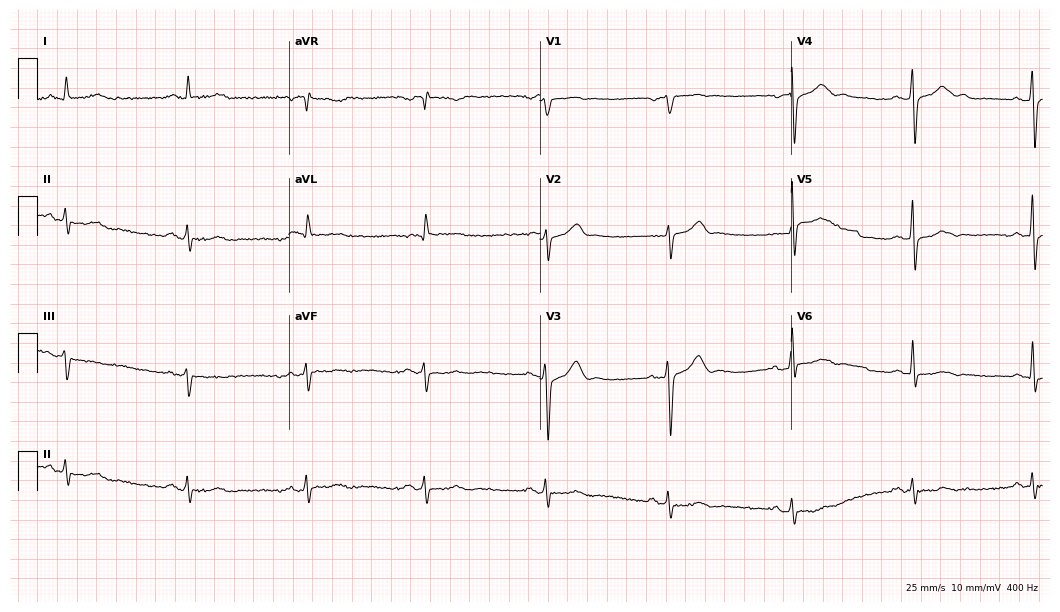
Standard 12-lead ECG recorded from a male, 61 years old. Read as a normal ECG.